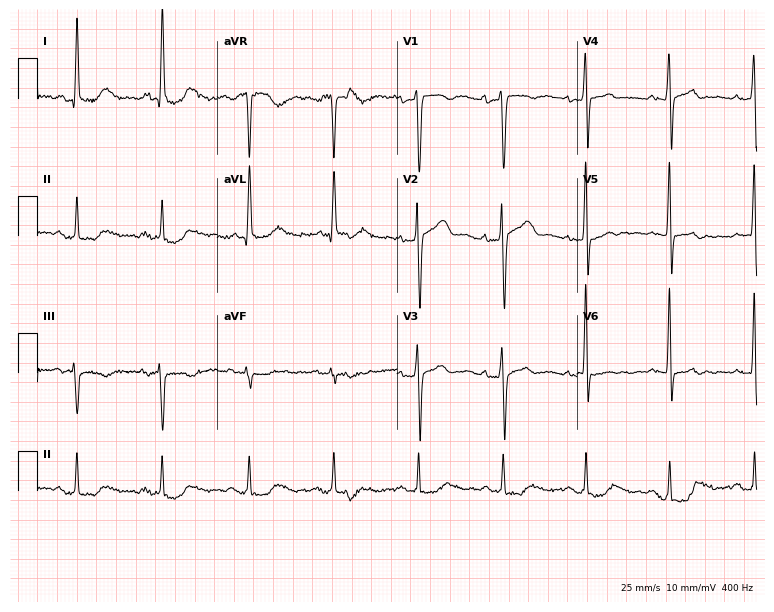
12-lead ECG (7.3-second recording at 400 Hz) from a 50-year-old male patient. Screened for six findings — first-degree AV block, right bundle branch block, left bundle branch block, sinus bradycardia, atrial fibrillation, sinus tachycardia — none is recorded.